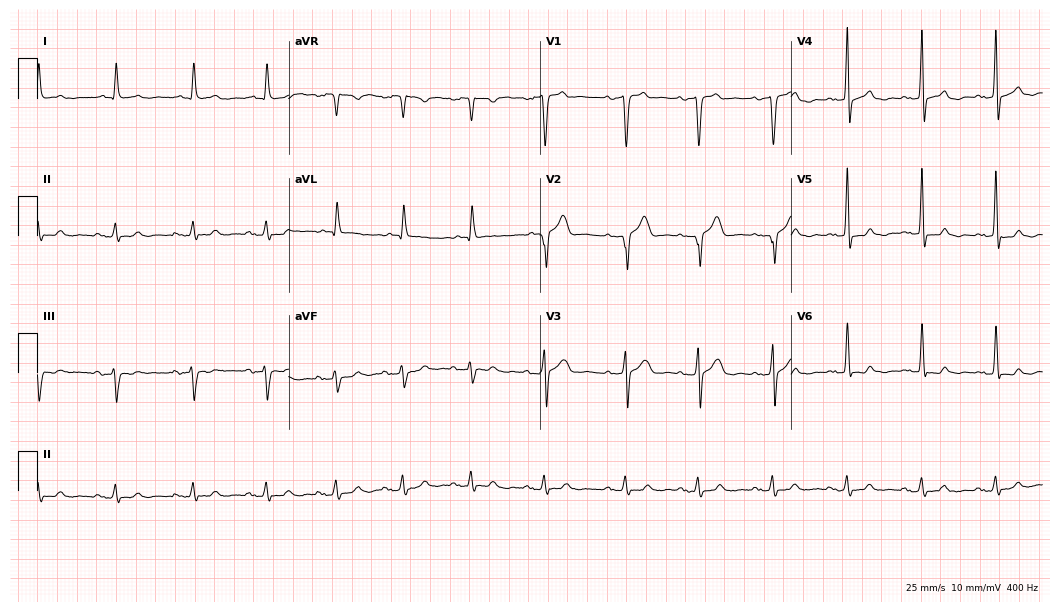
ECG — a 66-year-old male. Screened for six findings — first-degree AV block, right bundle branch block (RBBB), left bundle branch block (LBBB), sinus bradycardia, atrial fibrillation (AF), sinus tachycardia — none is recorded. Only these six findings were labelled.